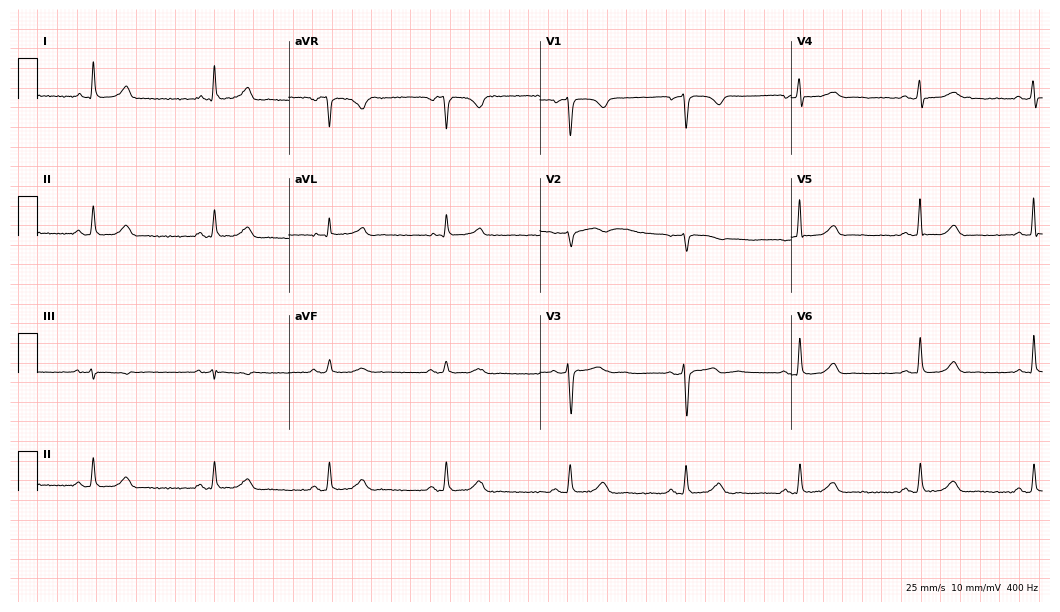
Standard 12-lead ECG recorded from a 53-year-old female patient. Read as a normal ECG.